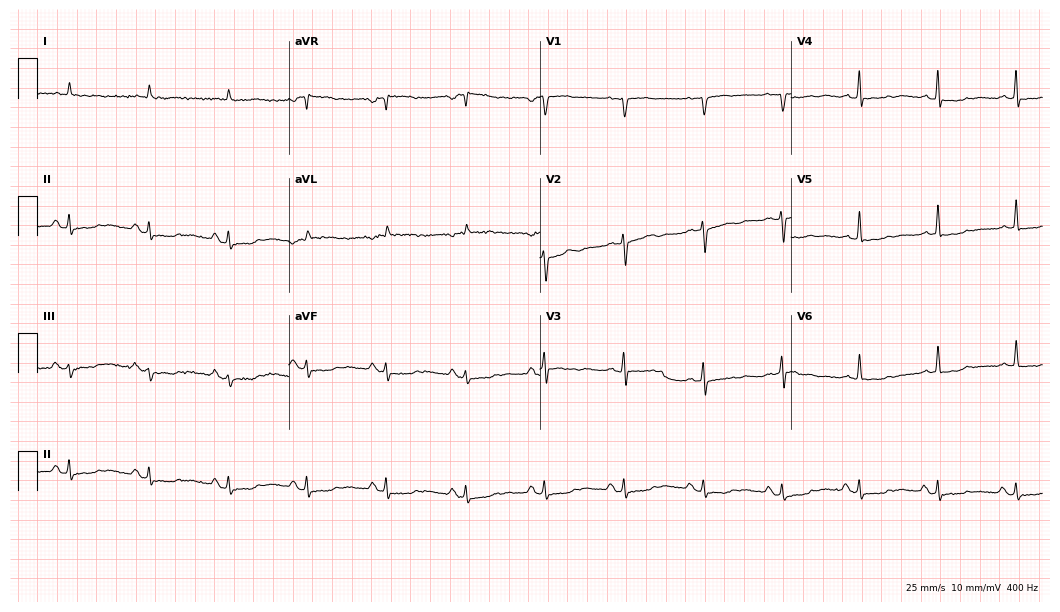
12-lead ECG from a 75-year-old male patient. No first-degree AV block, right bundle branch block, left bundle branch block, sinus bradycardia, atrial fibrillation or sinus tachycardia recorded for this tracing. Findings outside these six are not listed.